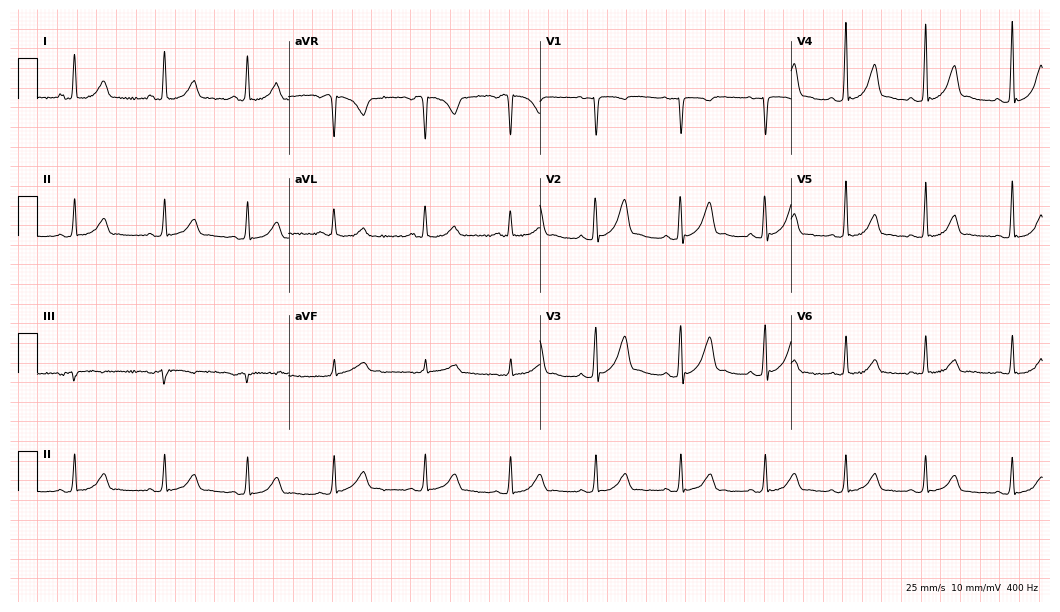
Resting 12-lead electrocardiogram. Patient: a 35-year-old female. Read as a normal ECG.